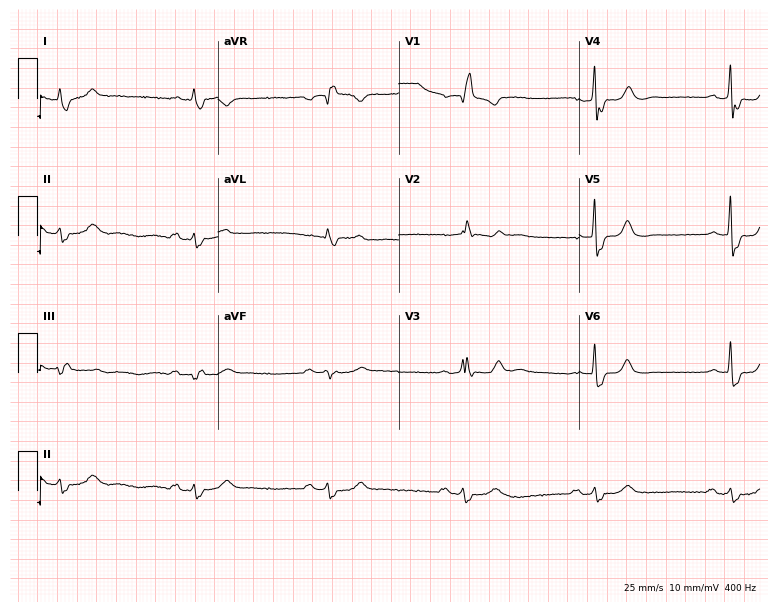
ECG — a man, 74 years old. Screened for six findings — first-degree AV block, right bundle branch block, left bundle branch block, sinus bradycardia, atrial fibrillation, sinus tachycardia — none is recorded.